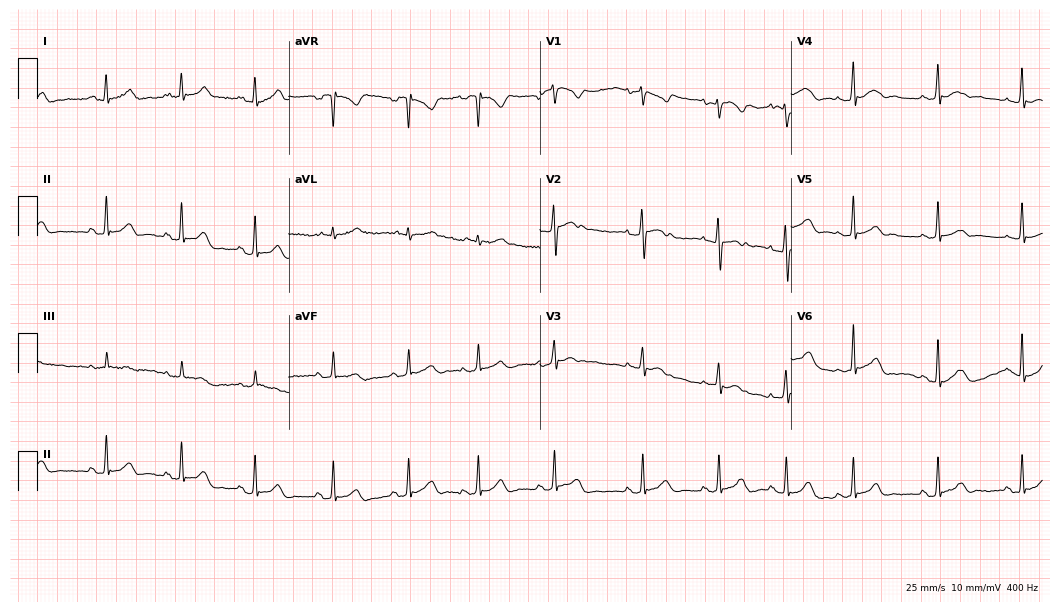
12-lead ECG from a 22-year-old woman. Recorded interpretation: within normal limits.